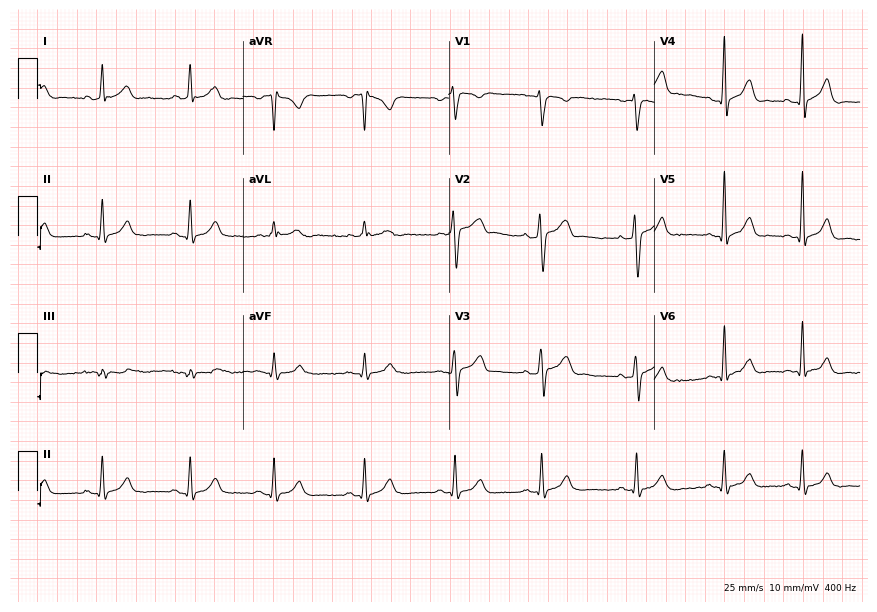
ECG — a 26-year-old male patient. Labelled as a normal ECG.